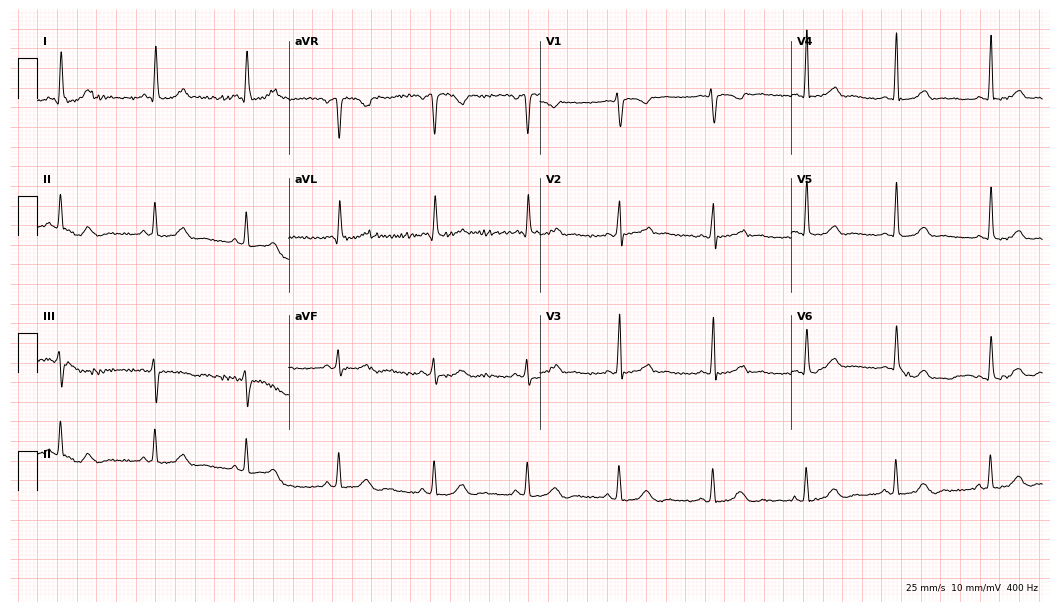
Standard 12-lead ECG recorded from a 55-year-old female patient (10.2-second recording at 400 Hz). None of these six findings is recorded: first-degree AV block, right bundle branch block (RBBB), left bundle branch block (LBBB), sinus bradycardia, atrial fibrillation (AF), sinus tachycardia.